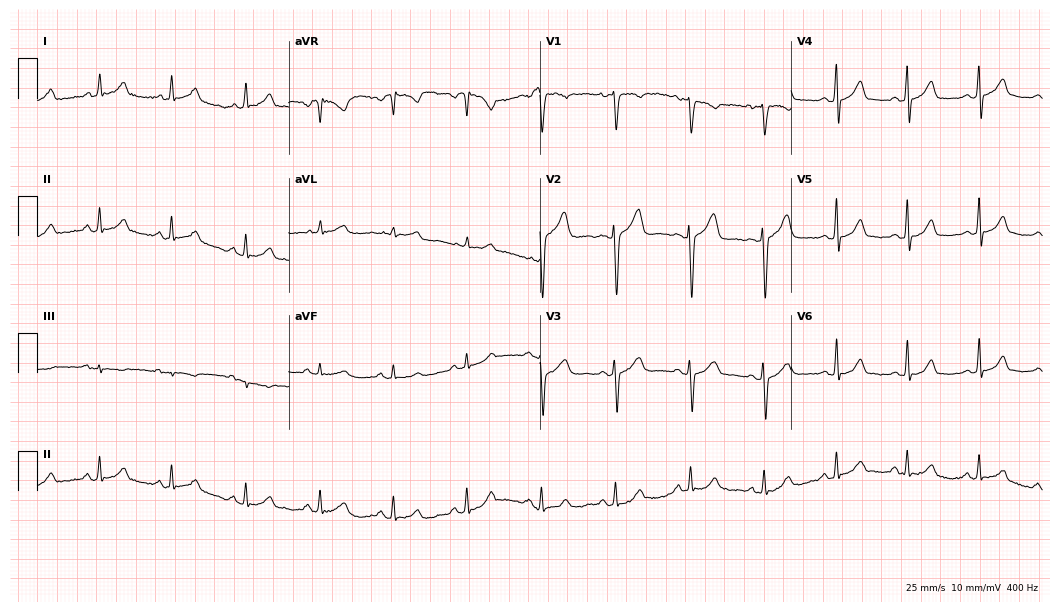
12-lead ECG (10.2-second recording at 400 Hz) from a woman, 40 years old. Labelled as a normal ECG.